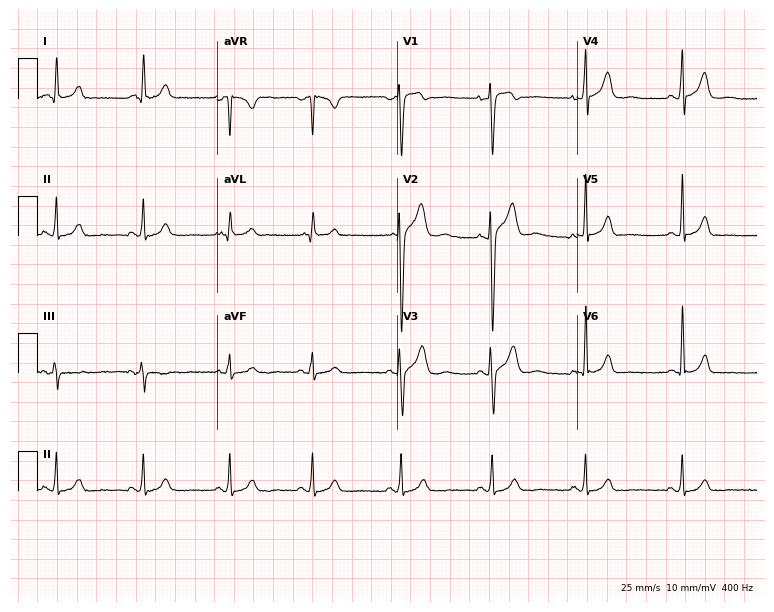
Standard 12-lead ECG recorded from a 40-year-old female (7.3-second recording at 400 Hz). None of these six findings is recorded: first-degree AV block, right bundle branch block, left bundle branch block, sinus bradycardia, atrial fibrillation, sinus tachycardia.